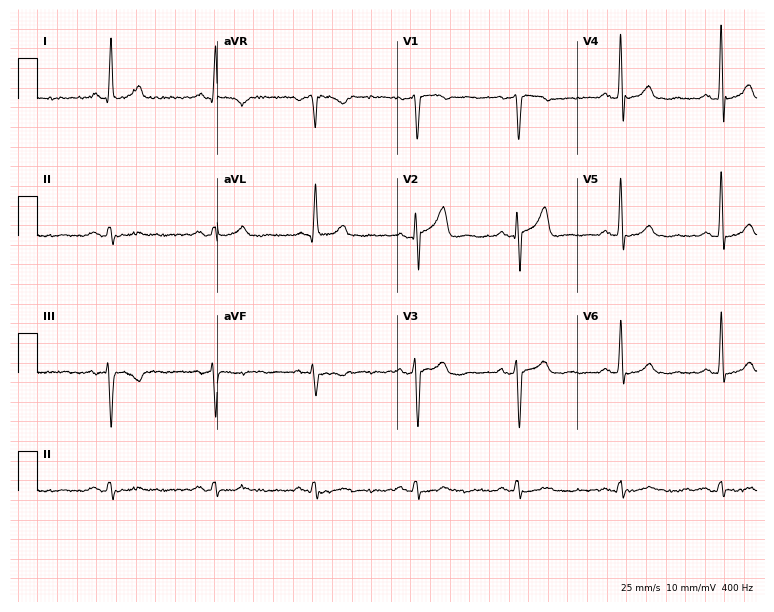
Standard 12-lead ECG recorded from a 58-year-old male patient. Read as a normal ECG.